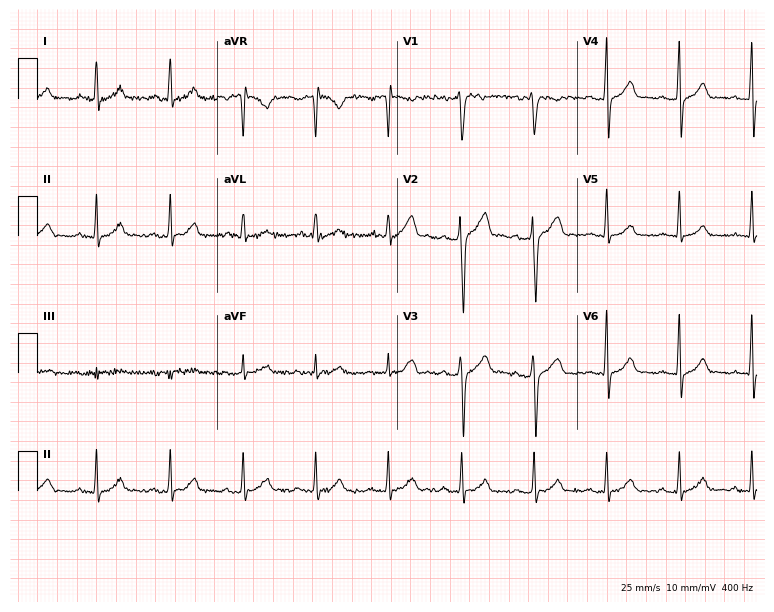
12-lead ECG from a man, 35 years old (7.3-second recording at 400 Hz). Recorded interpretation: within normal limits.